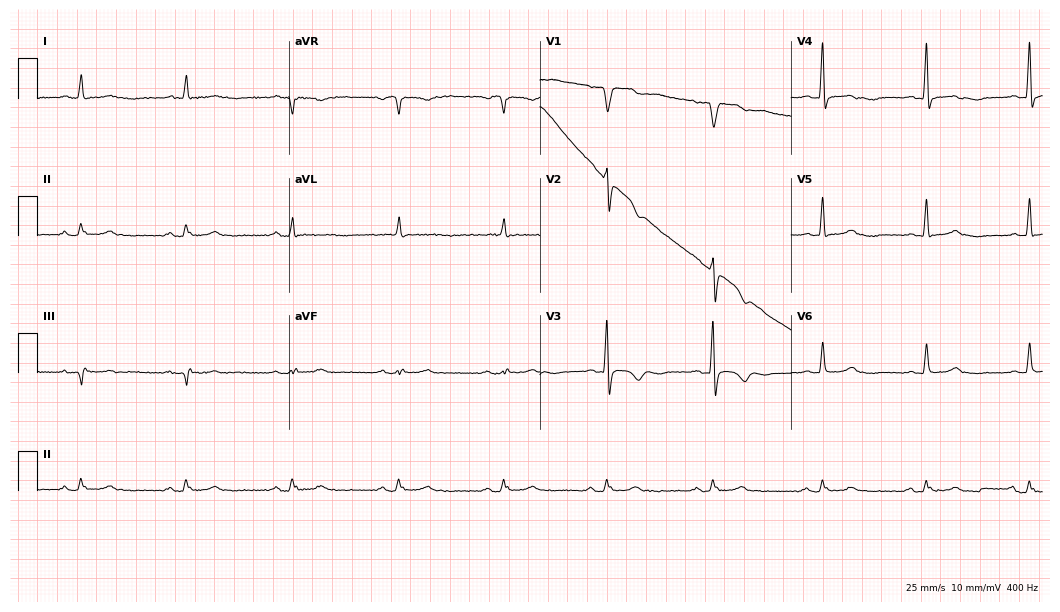
Electrocardiogram, a male patient, 64 years old. Of the six screened findings (first-degree AV block, right bundle branch block, left bundle branch block, sinus bradycardia, atrial fibrillation, sinus tachycardia), none is recorded. Only these six findings were labelled.